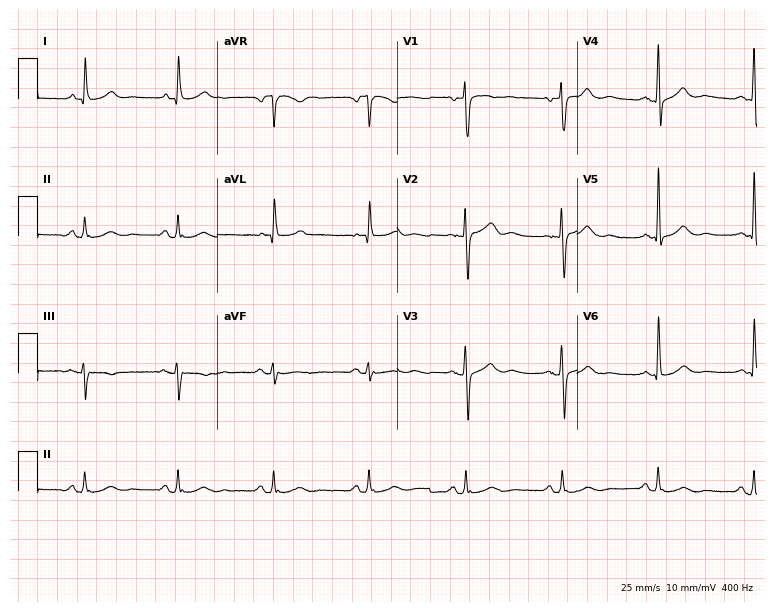
Standard 12-lead ECG recorded from a 65-year-old woman. Read as a normal ECG.